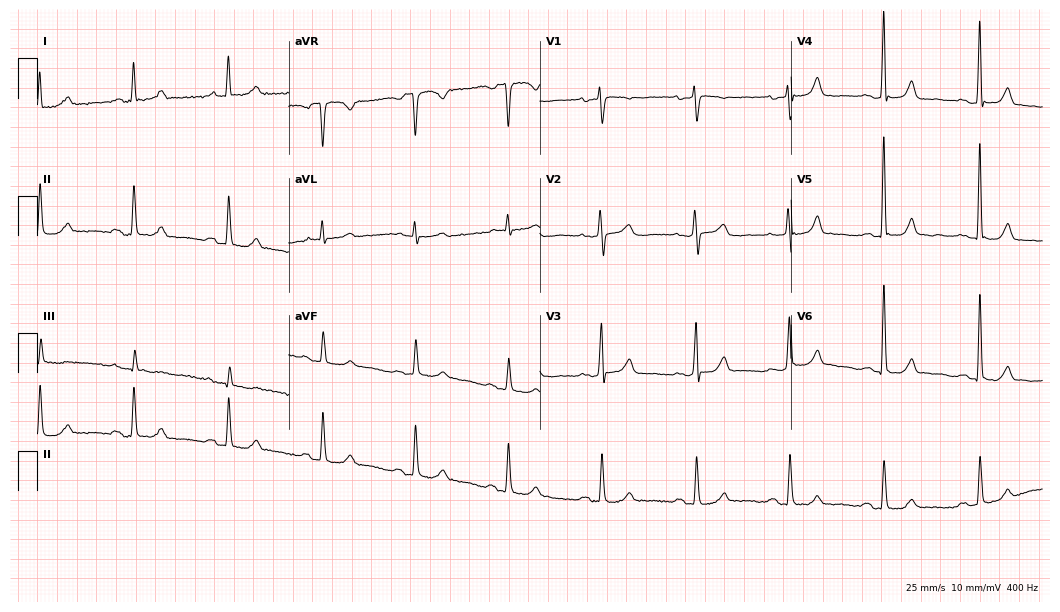
ECG (10.2-second recording at 400 Hz) — a female, 67 years old. Labelled as a normal ECG.